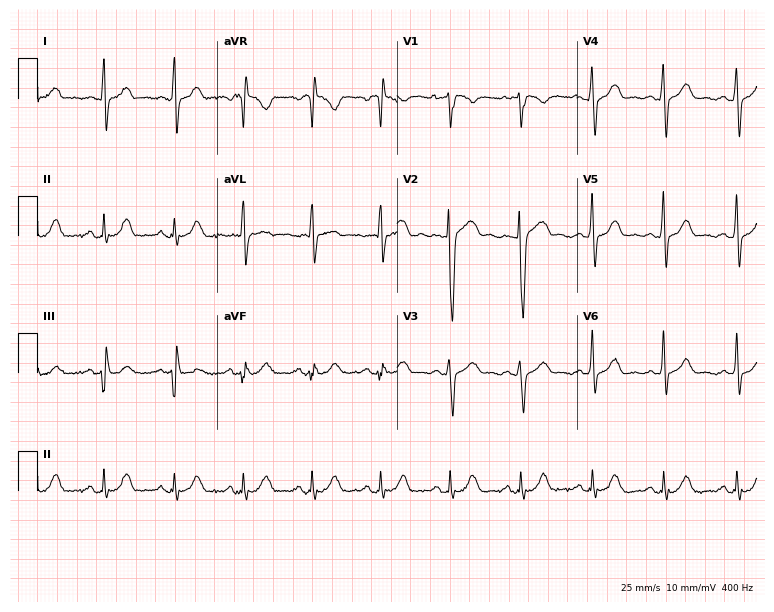
12-lead ECG (7.3-second recording at 400 Hz) from a 36-year-old male patient. Labelled as a normal ECG.